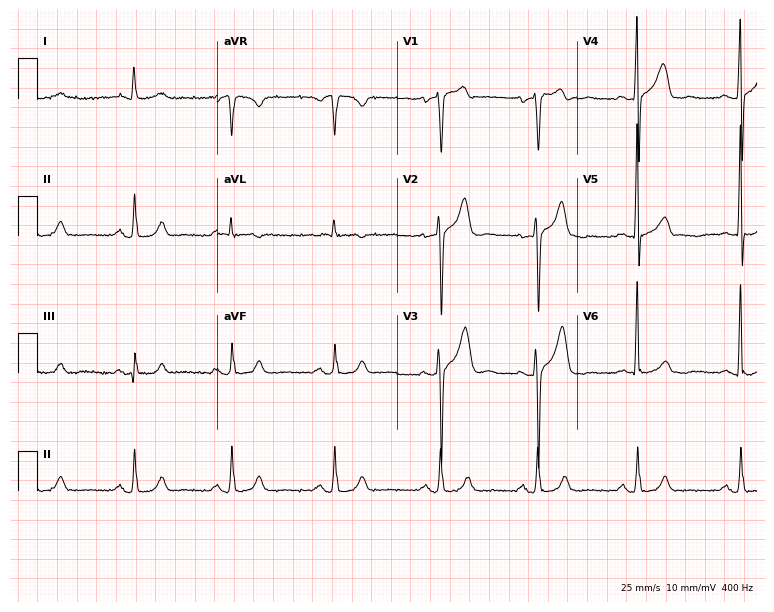
12-lead ECG from a male, 74 years old (7.3-second recording at 400 Hz). No first-degree AV block, right bundle branch block (RBBB), left bundle branch block (LBBB), sinus bradycardia, atrial fibrillation (AF) or sinus tachycardia recorded for this tracing.